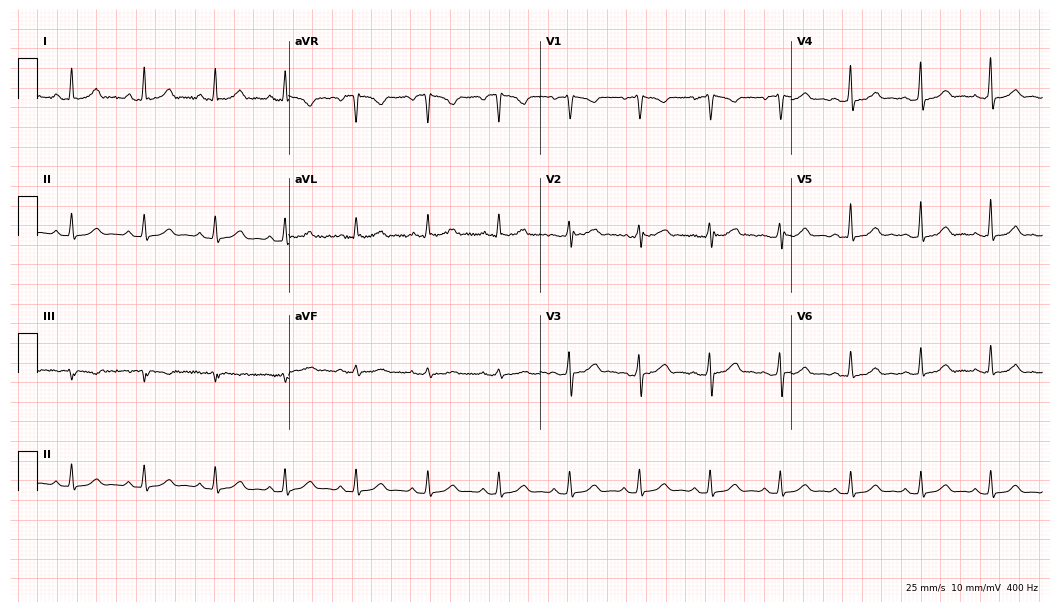
12-lead ECG (10.2-second recording at 400 Hz) from a 46-year-old female patient. Labelled as a normal ECG.